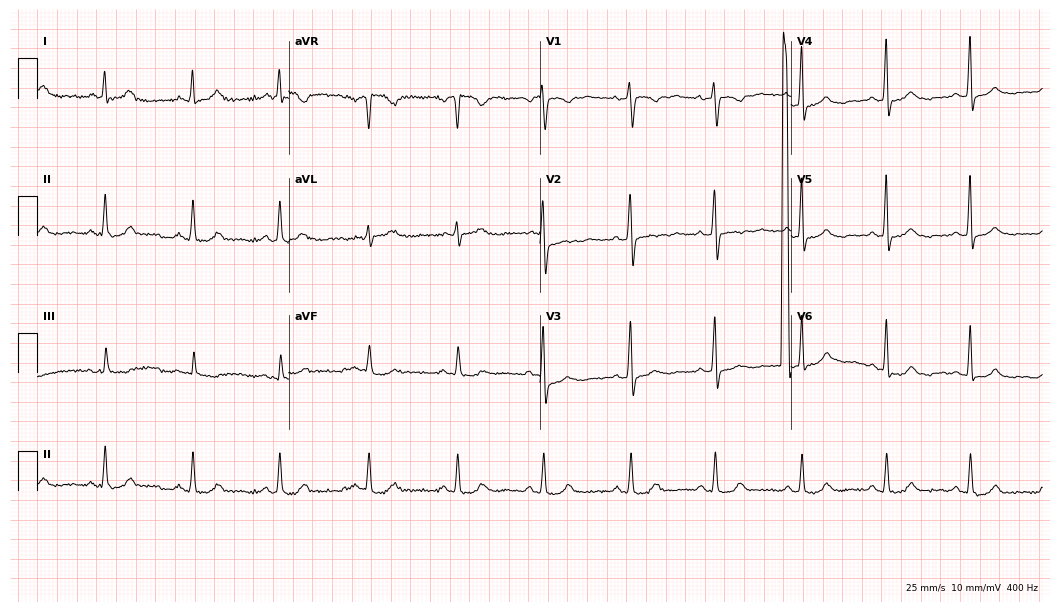
ECG — a 47-year-old female patient. Screened for six findings — first-degree AV block, right bundle branch block (RBBB), left bundle branch block (LBBB), sinus bradycardia, atrial fibrillation (AF), sinus tachycardia — none is recorded.